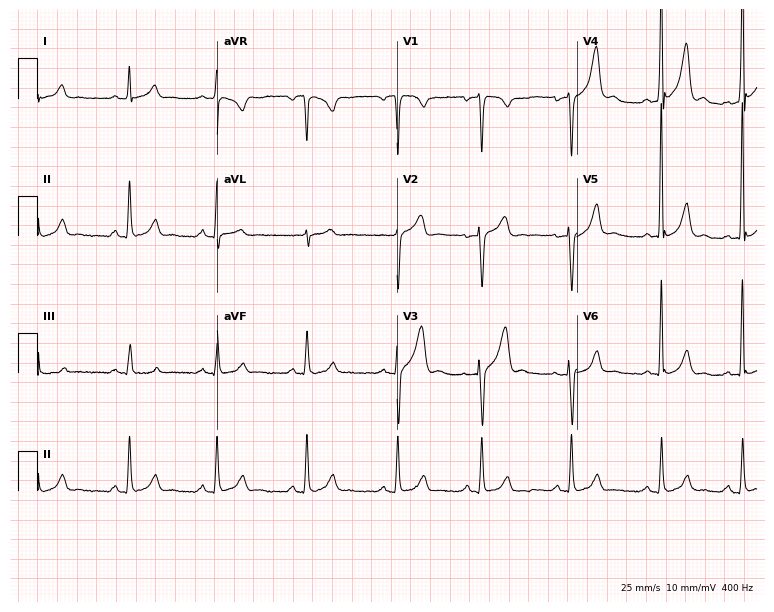
Electrocardiogram, a 30-year-old man. Overall reading on record: normal ECG.